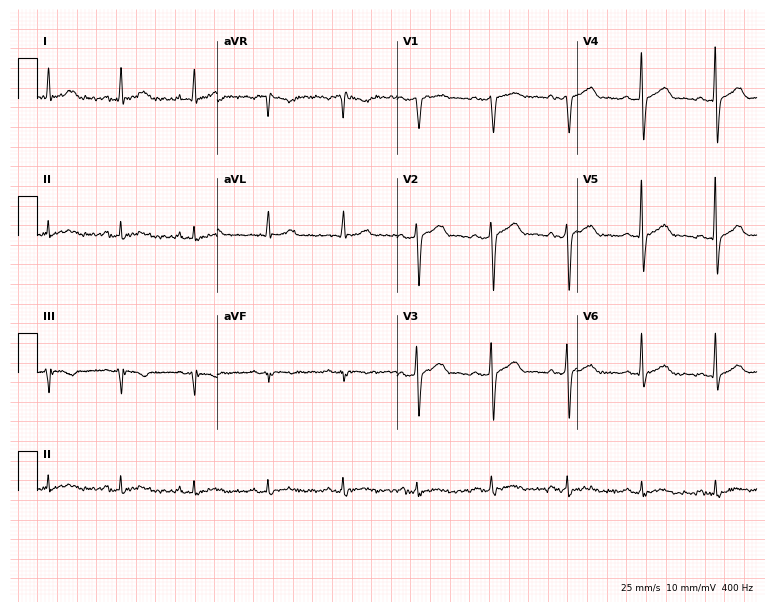
12-lead ECG (7.3-second recording at 400 Hz) from a male, 52 years old. Labelled as a normal ECG.